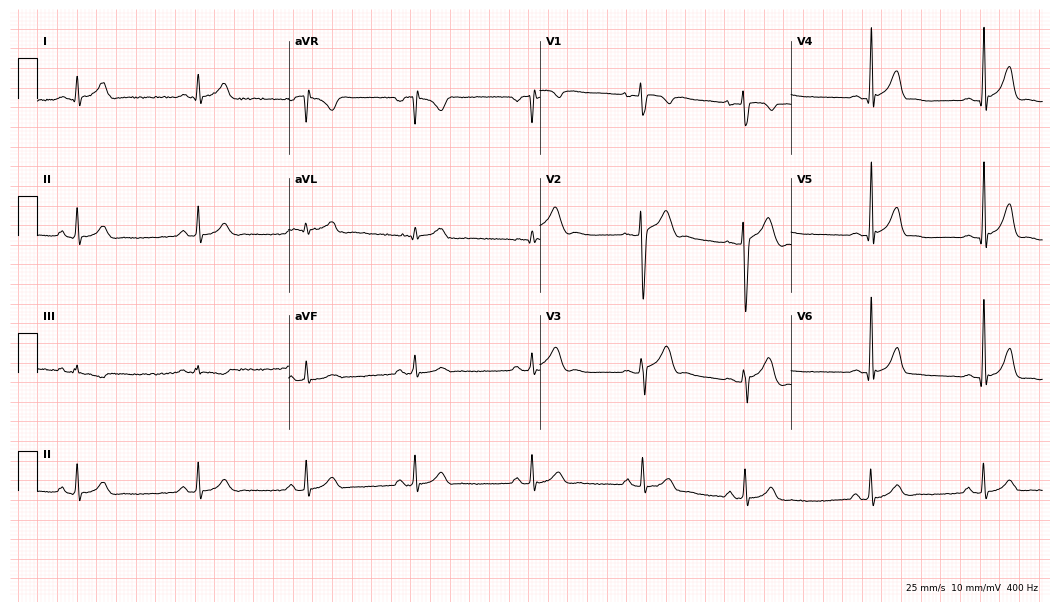
Electrocardiogram, a 23-year-old male patient. Overall reading on record: normal ECG.